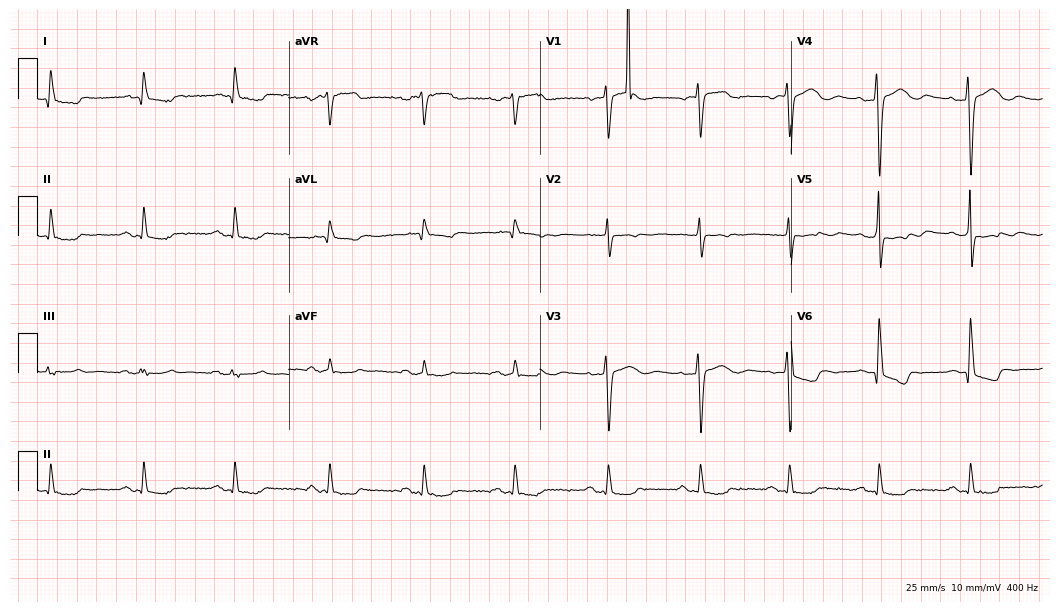
12-lead ECG (10.2-second recording at 400 Hz) from a female, 73 years old. Screened for six findings — first-degree AV block, right bundle branch block, left bundle branch block, sinus bradycardia, atrial fibrillation, sinus tachycardia — none is recorded.